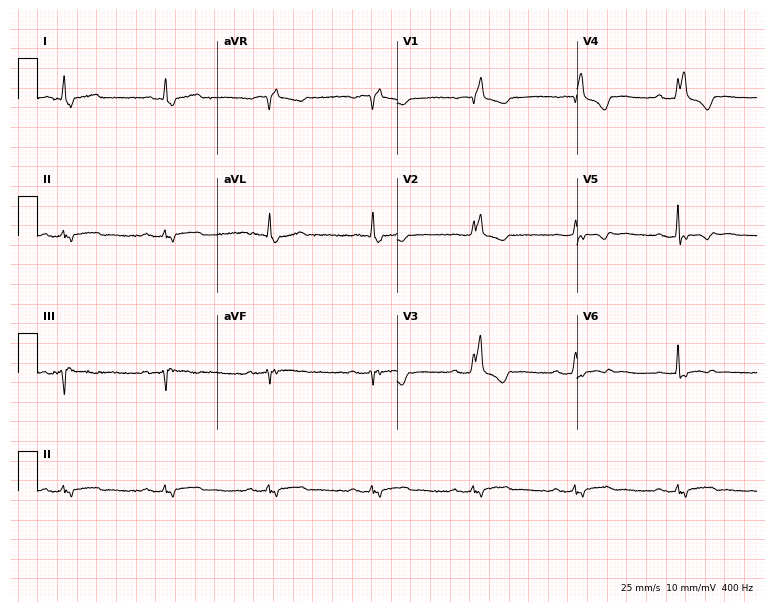
12-lead ECG (7.3-second recording at 400 Hz) from a 66-year-old female patient. Findings include right bundle branch block.